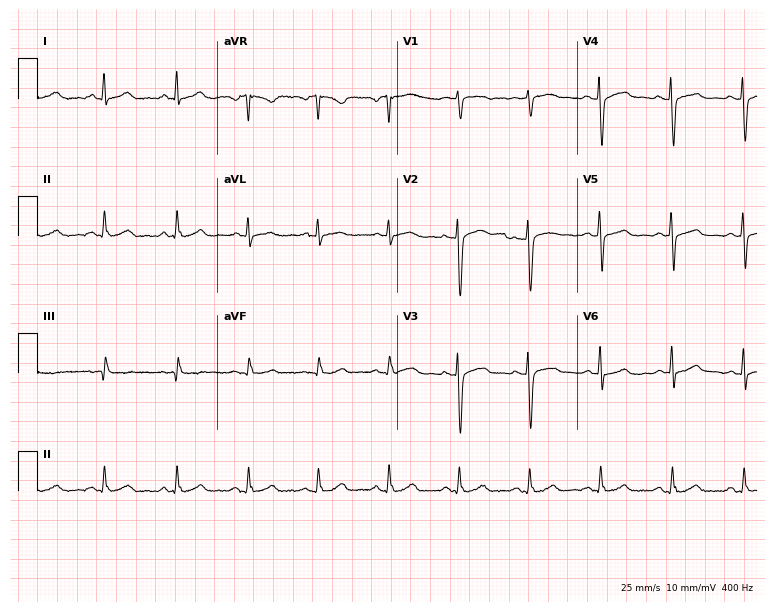
12-lead ECG from a female, 34 years old. Labelled as a normal ECG.